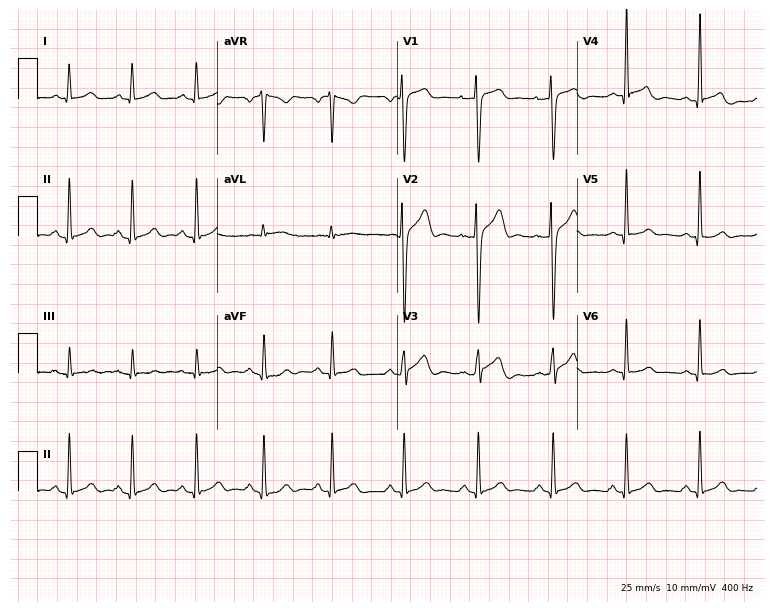
12-lead ECG from a 26-year-old male. Recorded interpretation: within normal limits.